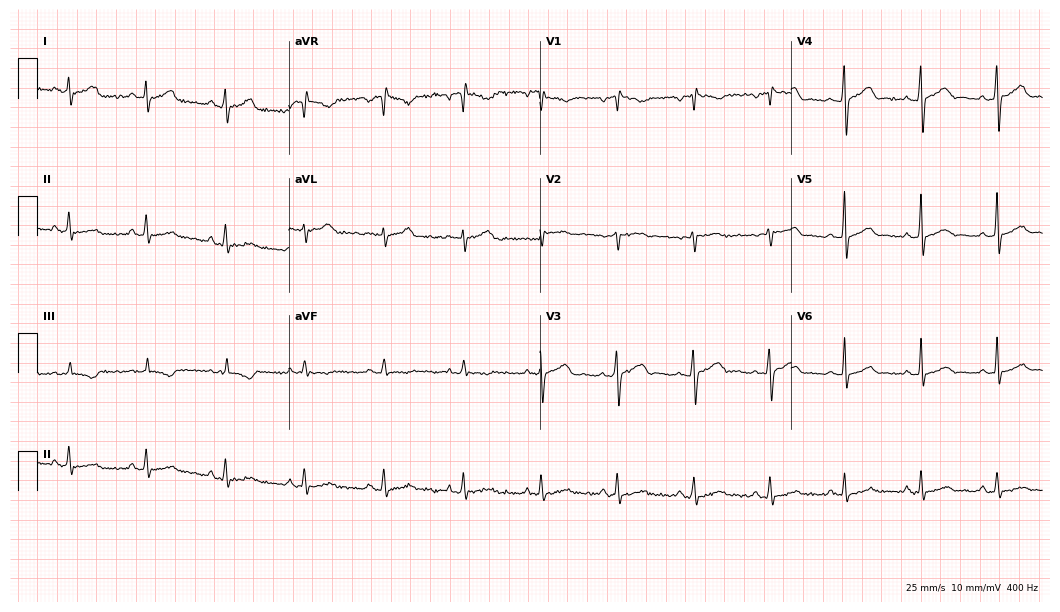
Electrocardiogram, a 28-year-old female patient. Overall reading on record: normal ECG.